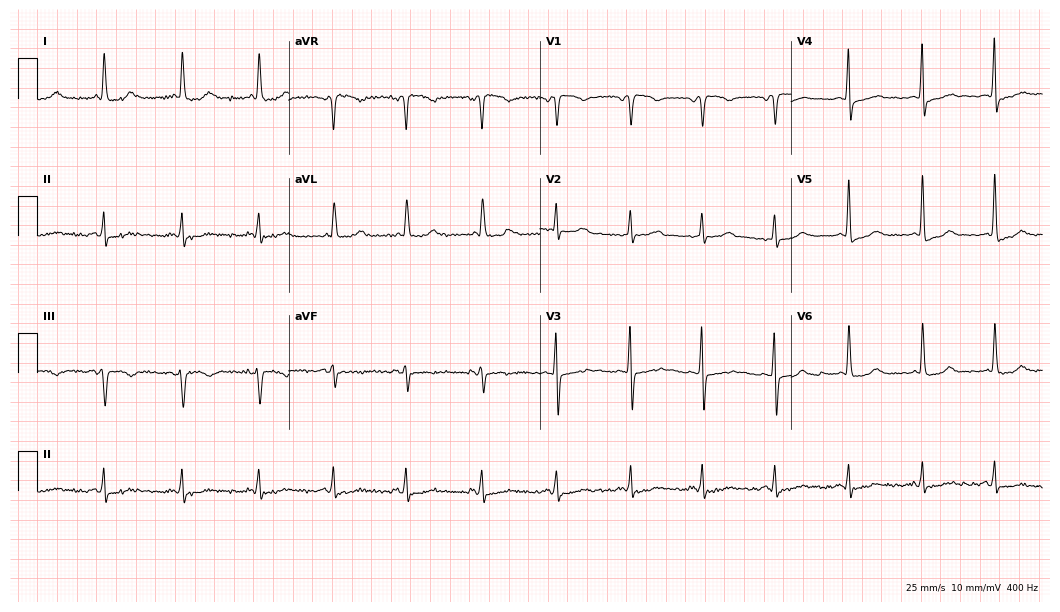
Electrocardiogram, a woman, 67 years old. Overall reading on record: normal ECG.